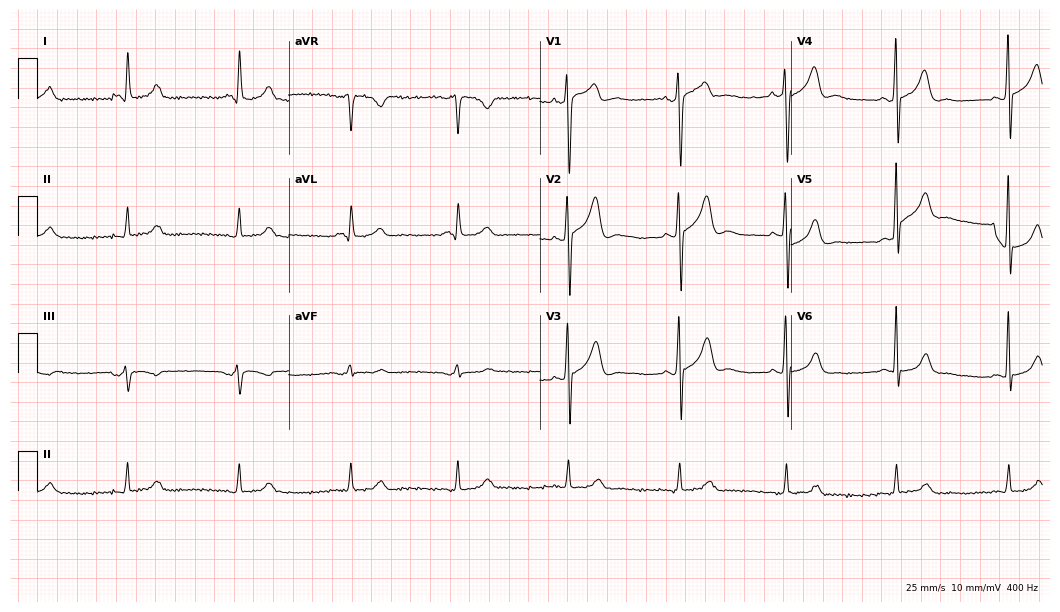
ECG — a man, 54 years old. Labelled as a normal ECG.